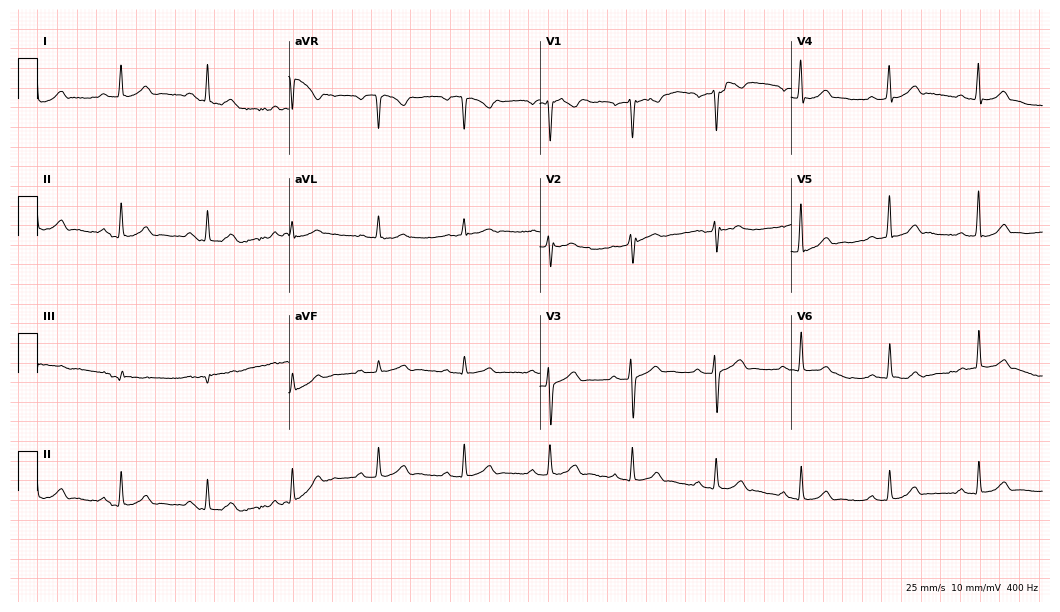
ECG — a male patient, 46 years old. Screened for six findings — first-degree AV block, right bundle branch block (RBBB), left bundle branch block (LBBB), sinus bradycardia, atrial fibrillation (AF), sinus tachycardia — none is recorded. Findings outside these six are not listed.